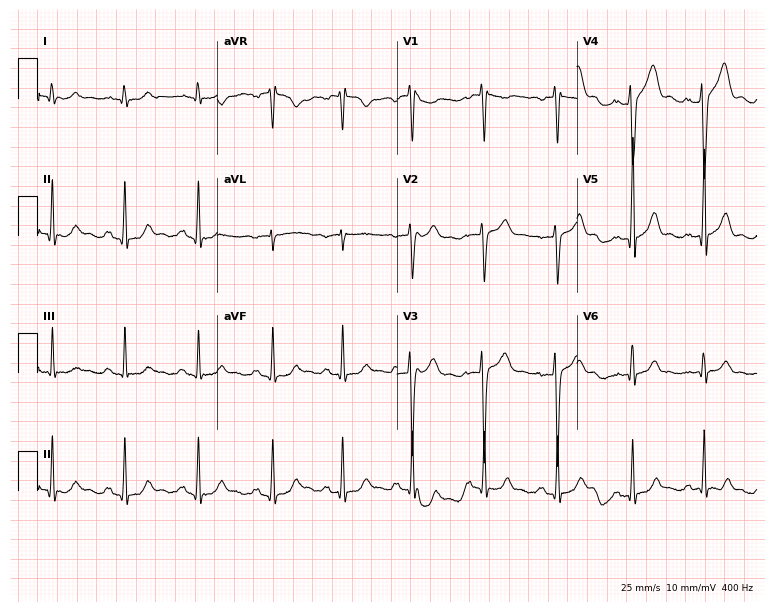
Resting 12-lead electrocardiogram. Patient: an 18-year-old male. Read as a normal ECG.